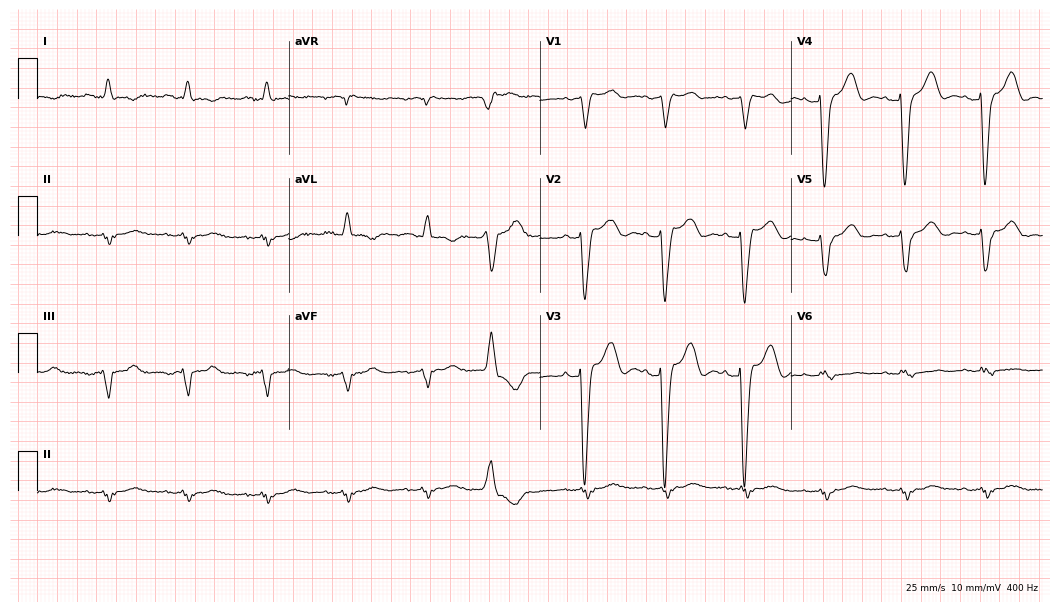
Standard 12-lead ECG recorded from a woman, 64 years old. None of these six findings is recorded: first-degree AV block, right bundle branch block, left bundle branch block, sinus bradycardia, atrial fibrillation, sinus tachycardia.